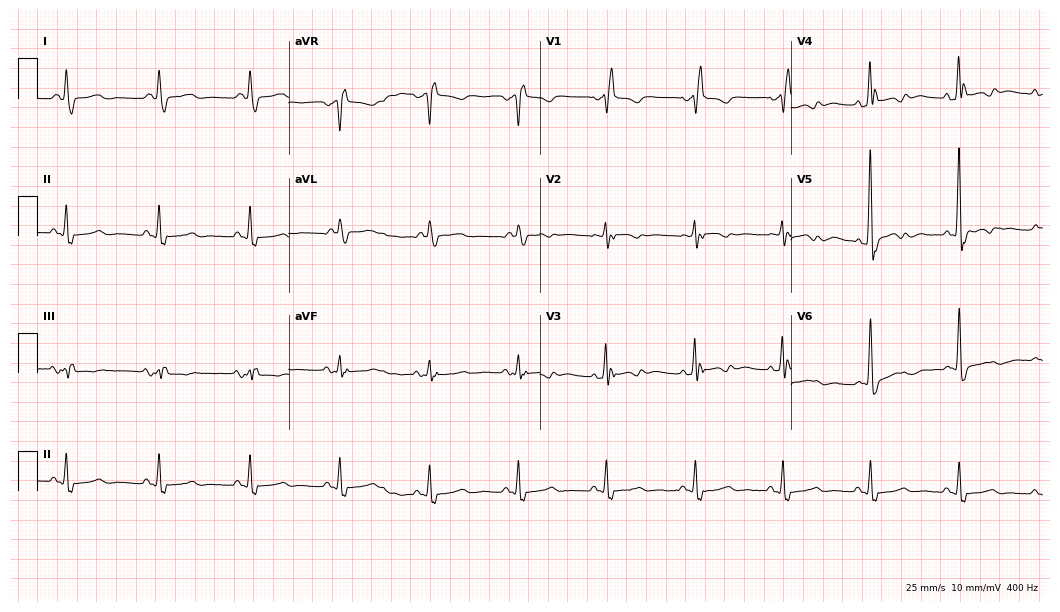
Electrocardiogram, an 81-year-old male. Of the six screened findings (first-degree AV block, right bundle branch block, left bundle branch block, sinus bradycardia, atrial fibrillation, sinus tachycardia), none is recorded. Other findings, if any, are not listed.